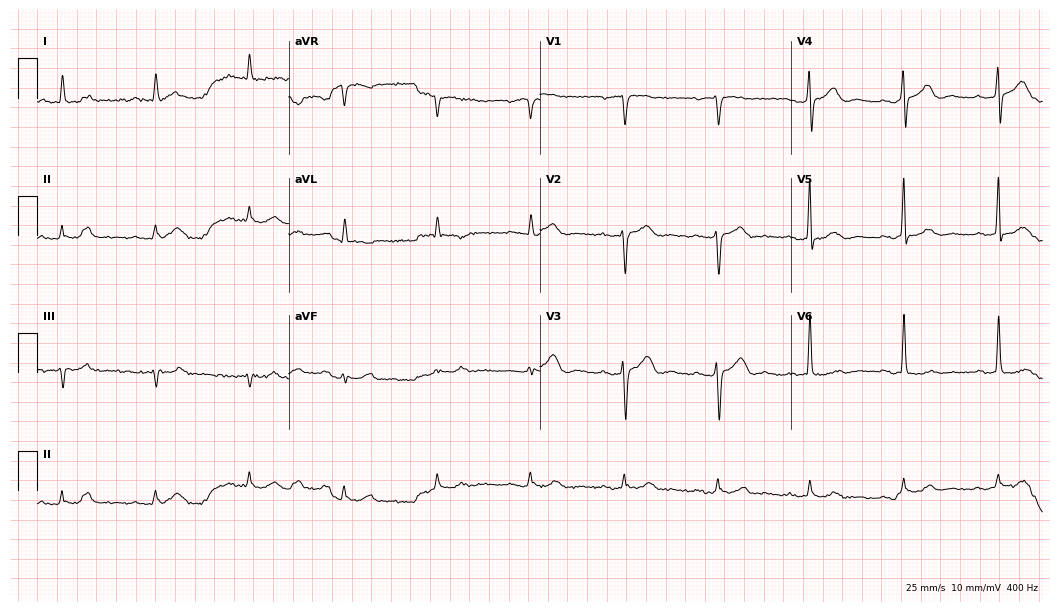
Standard 12-lead ECG recorded from a male patient, 85 years old. None of these six findings is recorded: first-degree AV block, right bundle branch block, left bundle branch block, sinus bradycardia, atrial fibrillation, sinus tachycardia.